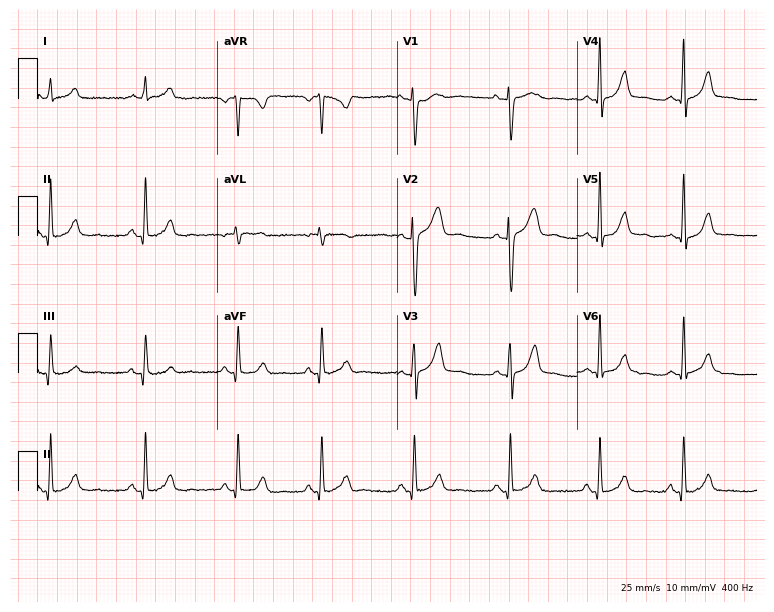
12-lead ECG from a 31-year-old female patient. Recorded interpretation: within normal limits.